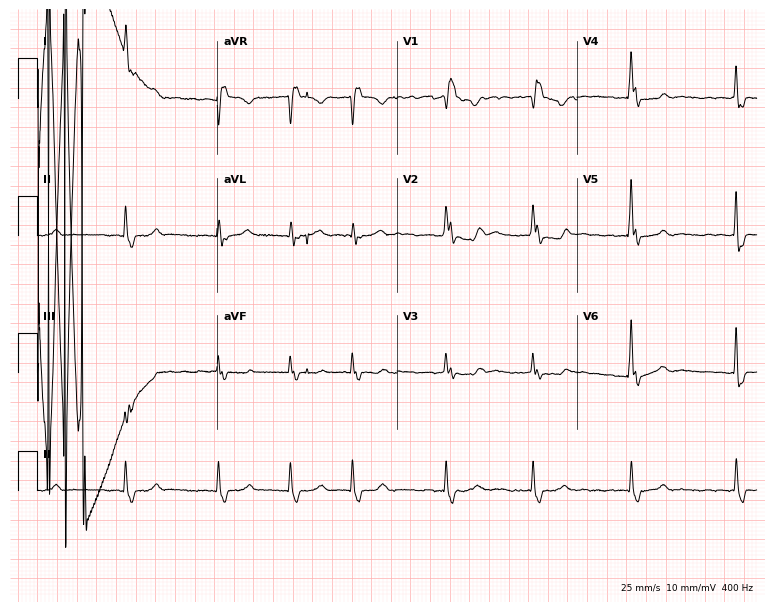
Electrocardiogram, a female patient, 82 years old. Interpretation includes right bundle branch block, atrial fibrillation.